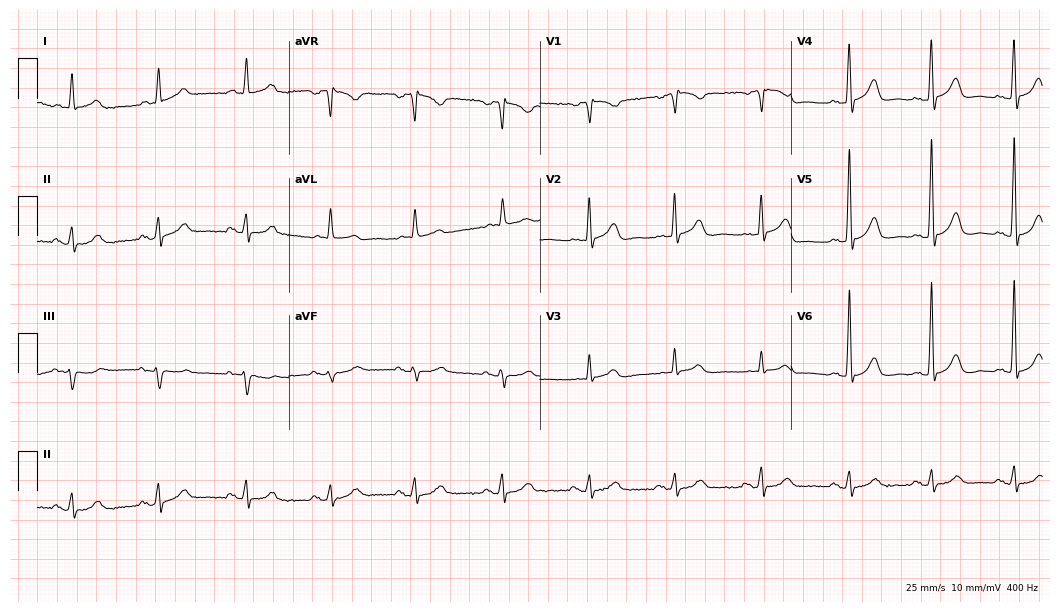
12-lead ECG from a 79-year-old female. Labelled as a normal ECG.